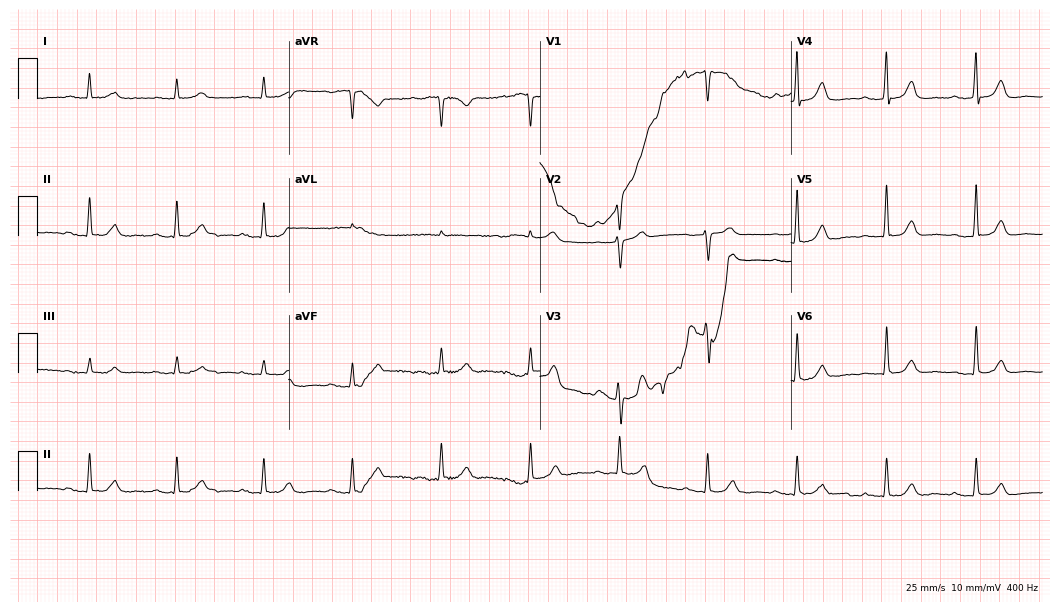
Resting 12-lead electrocardiogram. Patient: a 73-year-old male. The tracing shows first-degree AV block.